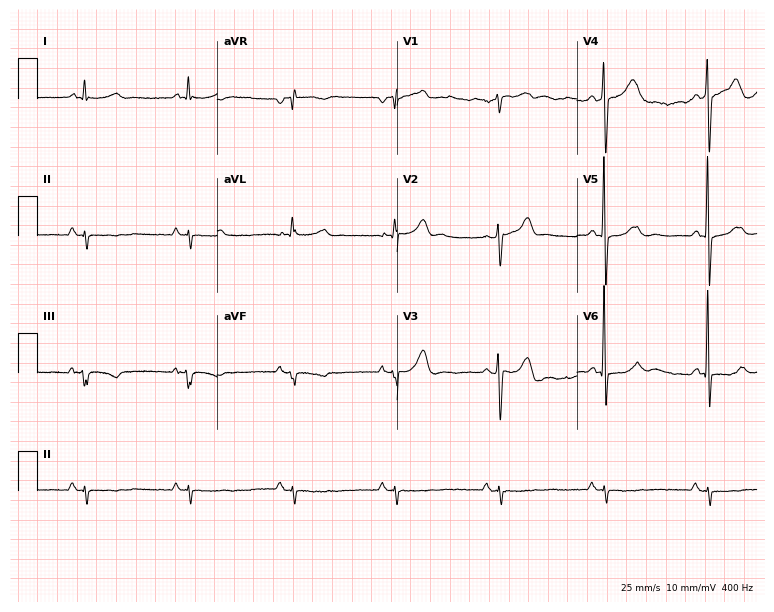
Standard 12-lead ECG recorded from a male patient, 74 years old. Read as a normal ECG.